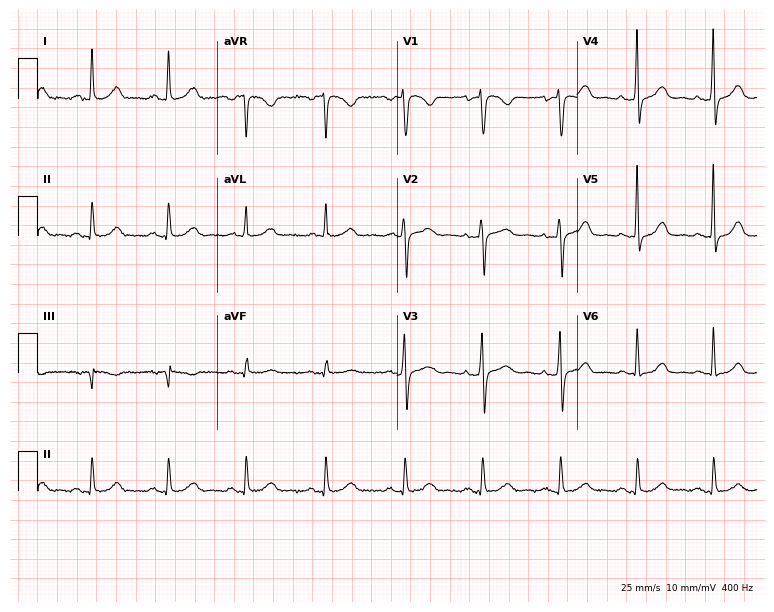
Electrocardiogram, a 51-year-old woman. Overall reading on record: normal ECG.